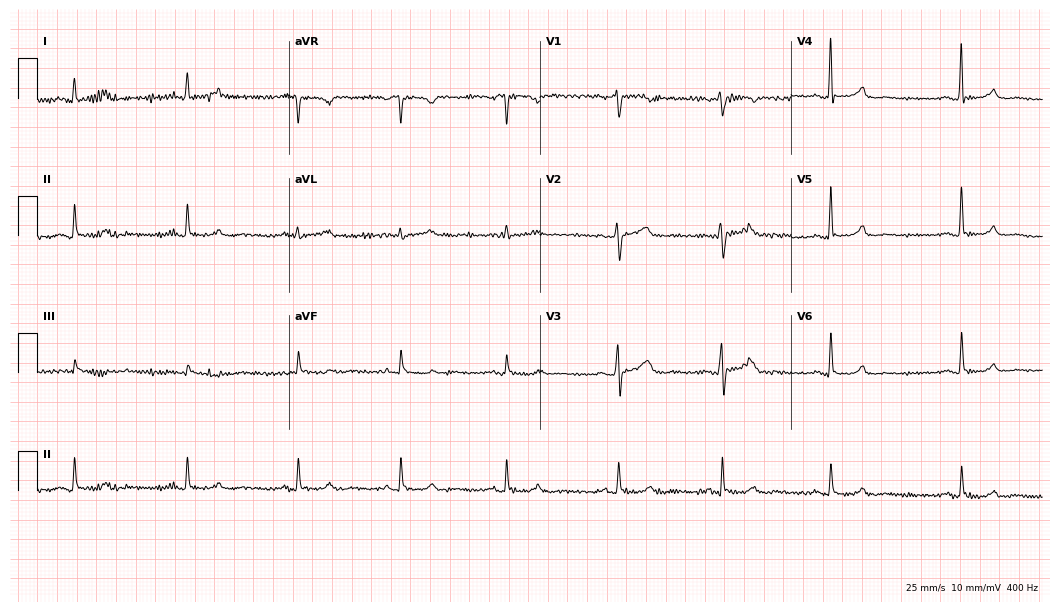
Standard 12-lead ECG recorded from a 51-year-old female patient. Read as a normal ECG.